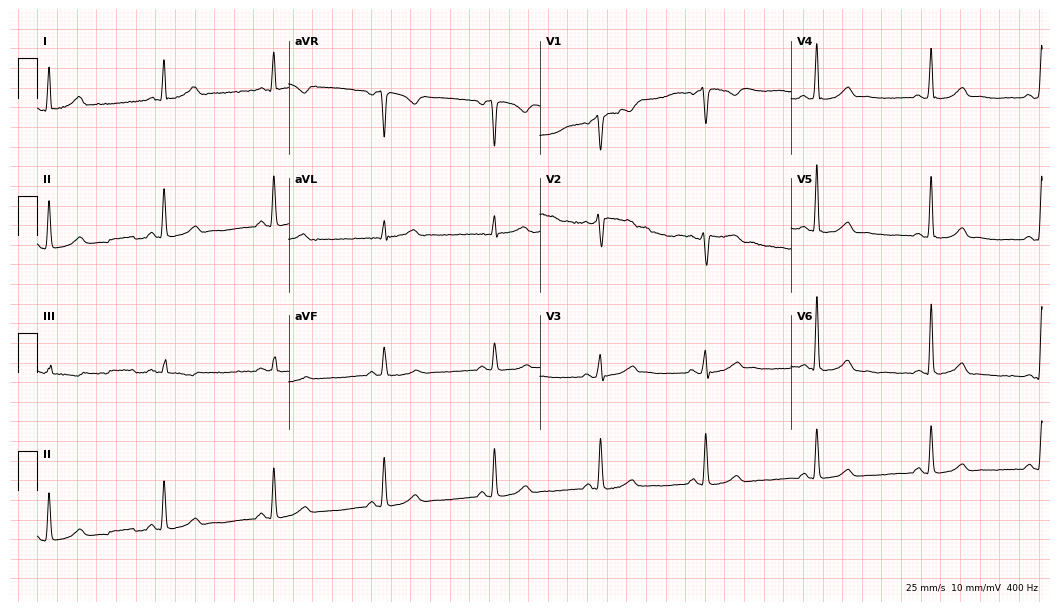
Standard 12-lead ECG recorded from a 41-year-old female (10.2-second recording at 400 Hz). None of these six findings is recorded: first-degree AV block, right bundle branch block (RBBB), left bundle branch block (LBBB), sinus bradycardia, atrial fibrillation (AF), sinus tachycardia. Findings outside these six are not listed.